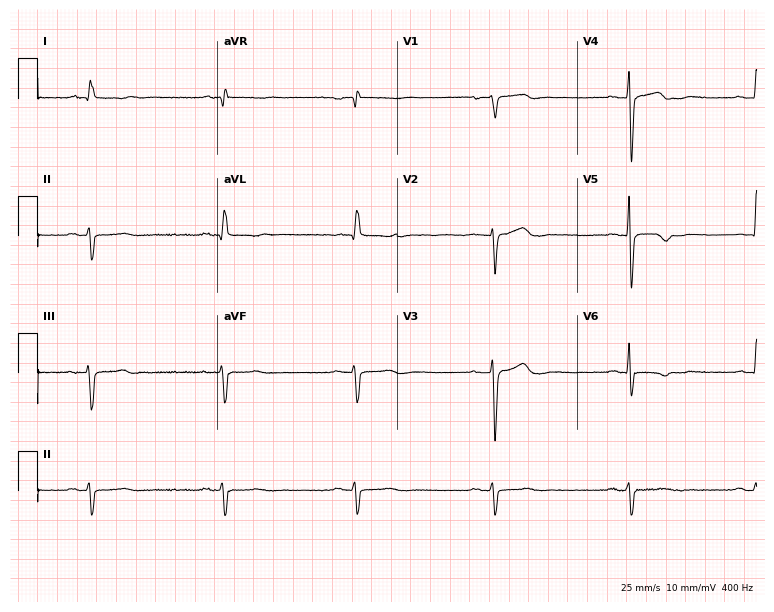
12-lead ECG from a 66-year-old male patient. Shows sinus bradycardia (a sinus rate of 50 beats per minute or less).